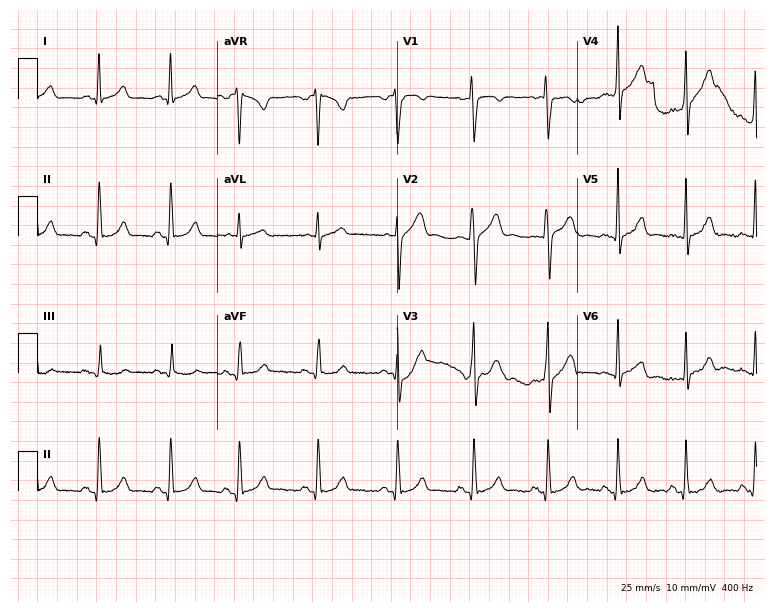
Standard 12-lead ECG recorded from a male, 21 years old. Read as a normal ECG.